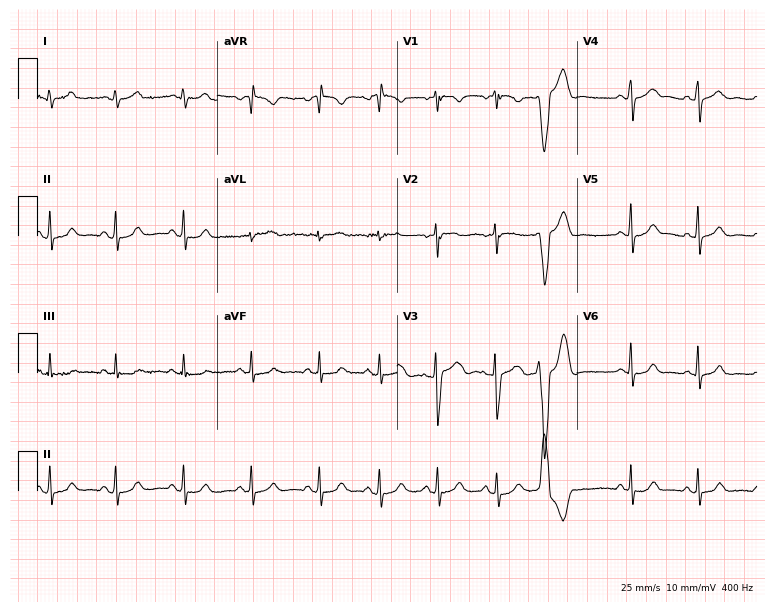
ECG (7.3-second recording at 400 Hz) — a 20-year-old female patient. Screened for six findings — first-degree AV block, right bundle branch block, left bundle branch block, sinus bradycardia, atrial fibrillation, sinus tachycardia — none is recorded. Other findings, if any, are not listed.